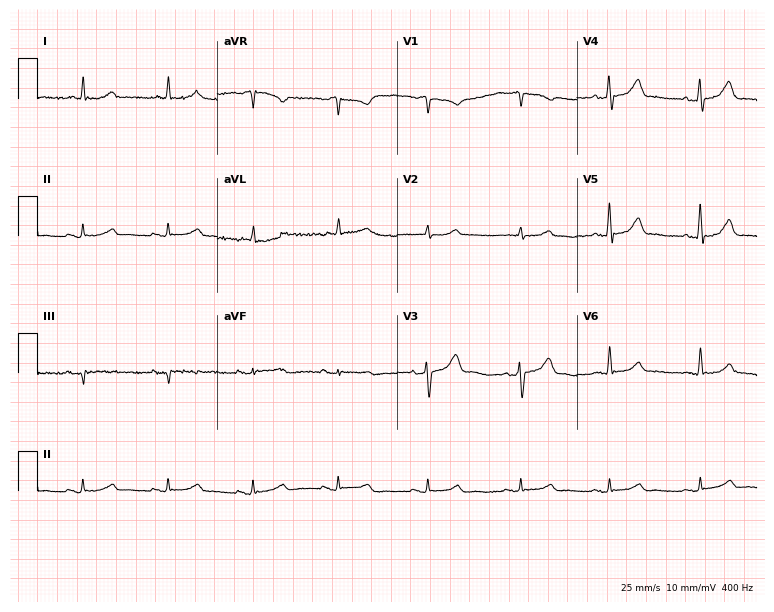
Standard 12-lead ECG recorded from a 69-year-old male patient. Read as a normal ECG.